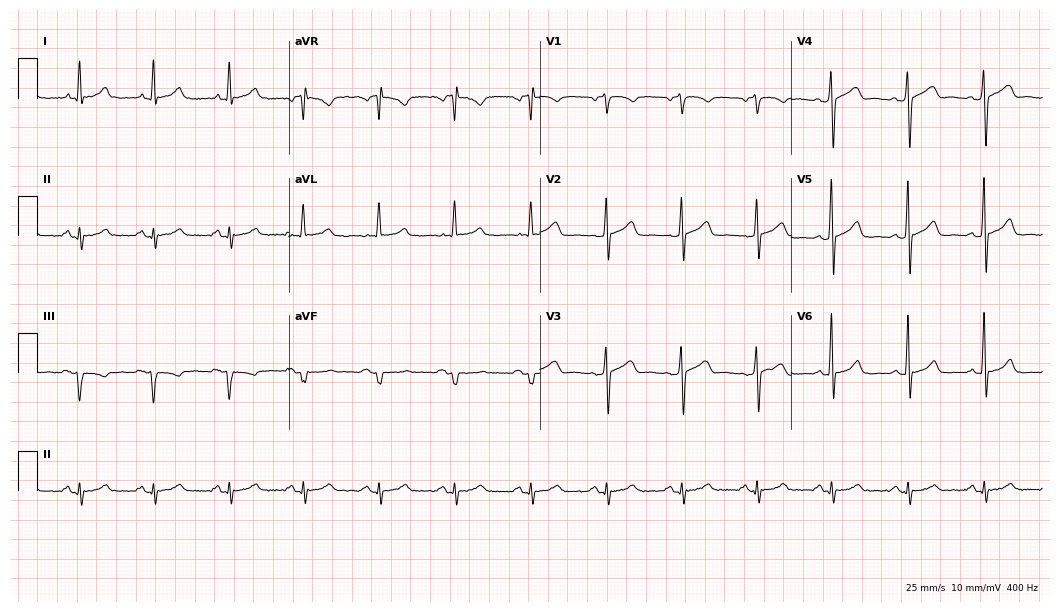
Electrocardiogram, a 72-year-old male patient. Of the six screened findings (first-degree AV block, right bundle branch block (RBBB), left bundle branch block (LBBB), sinus bradycardia, atrial fibrillation (AF), sinus tachycardia), none is recorded. Only these six findings were labelled.